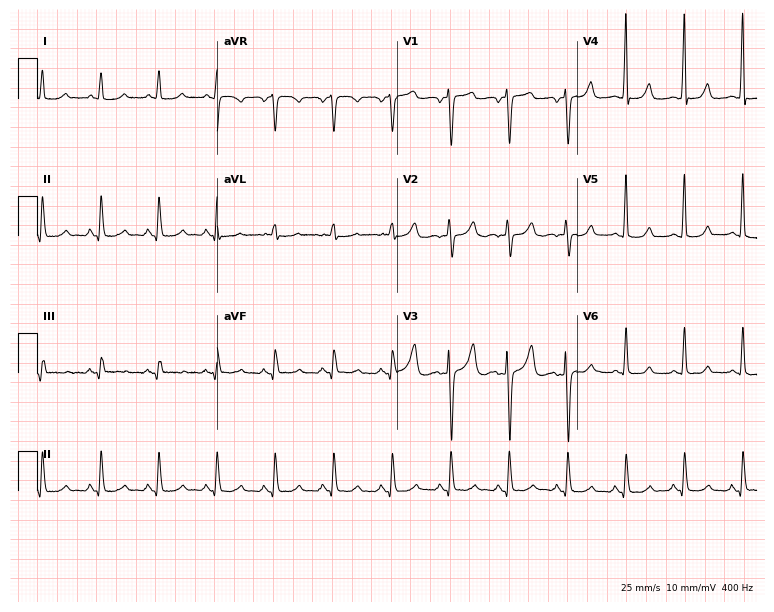
ECG — a female patient, 69 years old. Findings include sinus tachycardia (a sinus rate of 100 beats per minute or more).